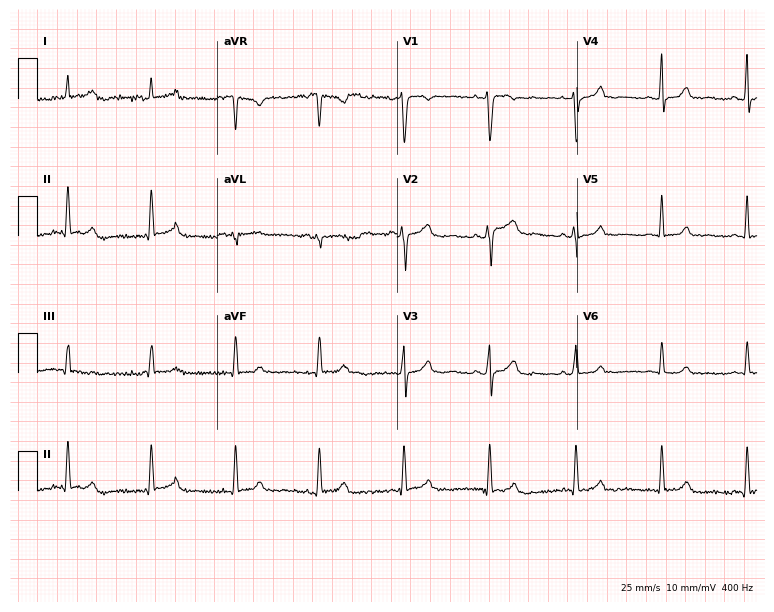
12-lead ECG from a 48-year-old female. Labelled as a normal ECG.